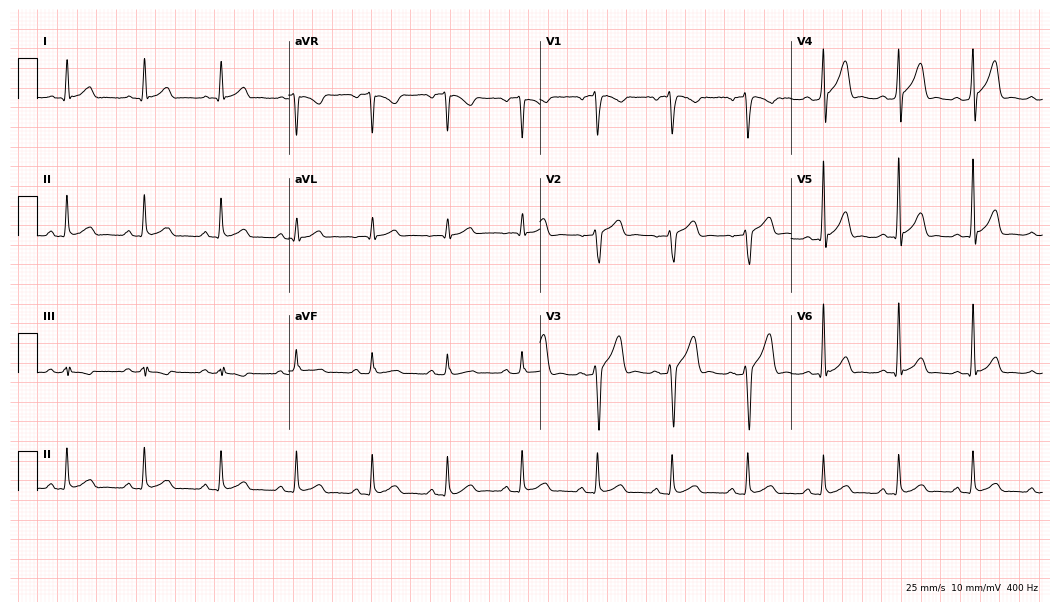
Resting 12-lead electrocardiogram (10.2-second recording at 400 Hz). Patient: a 35-year-old male. None of these six findings is recorded: first-degree AV block, right bundle branch block, left bundle branch block, sinus bradycardia, atrial fibrillation, sinus tachycardia.